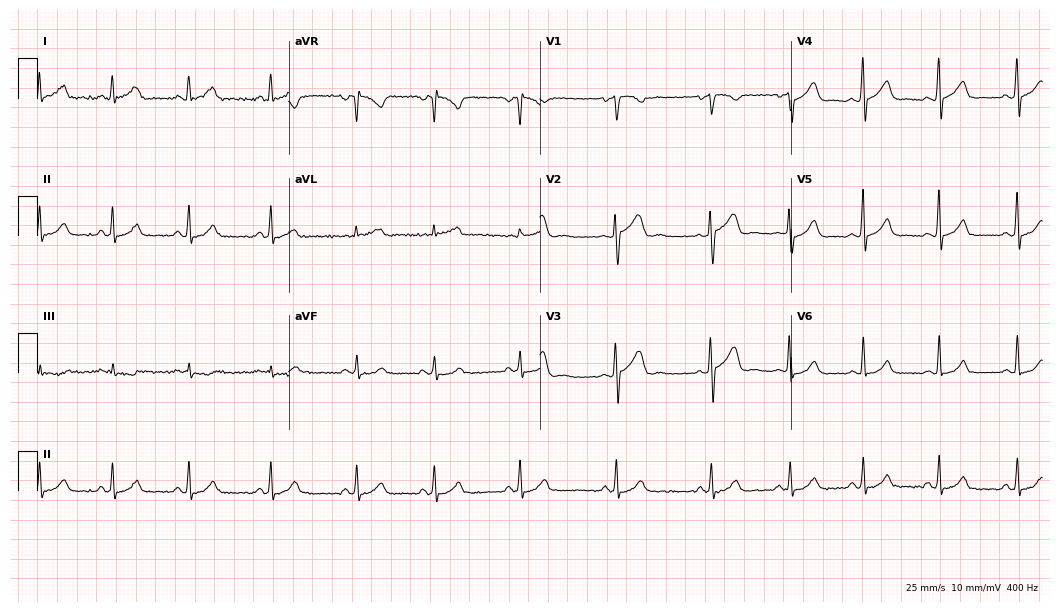
Resting 12-lead electrocardiogram (10.2-second recording at 400 Hz). Patient: a 29-year-old woman. None of these six findings is recorded: first-degree AV block, right bundle branch block, left bundle branch block, sinus bradycardia, atrial fibrillation, sinus tachycardia.